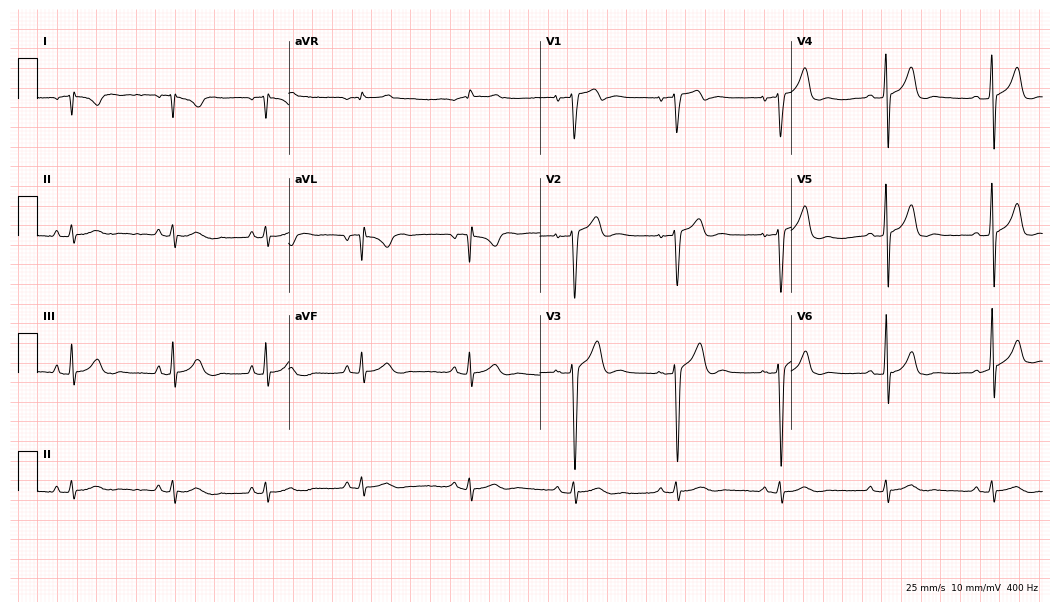
12-lead ECG from a man, 17 years old (10.2-second recording at 400 Hz). No first-degree AV block, right bundle branch block (RBBB), left bundle branch block (LBBB), sinus bradycardia, atrial fibrillation (AF) or sinus tachycardia recorded for this tracing.